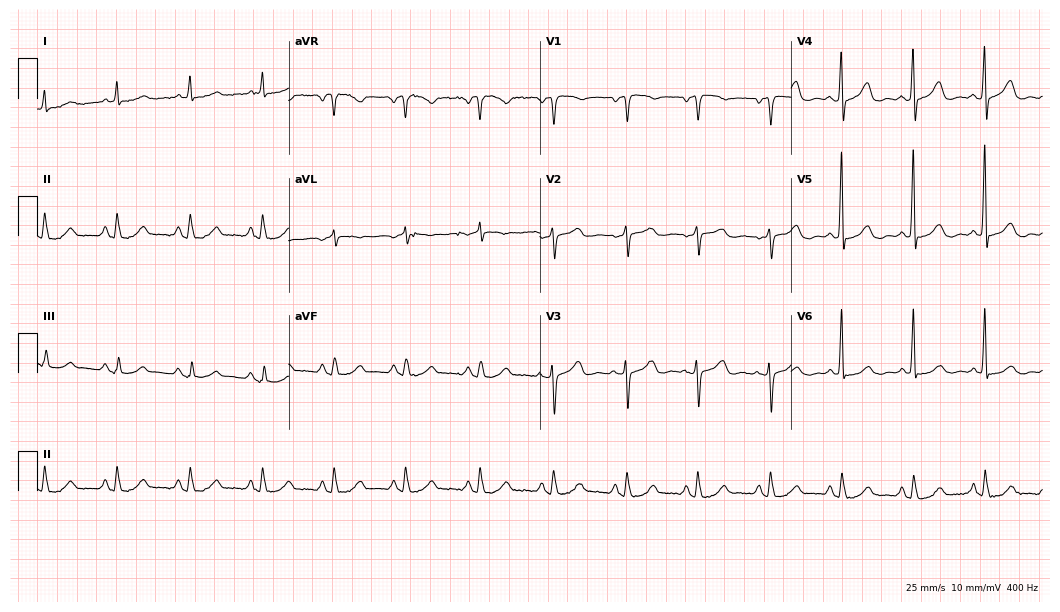
Resting 12-lead electrocardiogram (10.2-second recording at 400 Hz). Patient: a 75-year-old woman. None of these six findings is recorded: first-degree AV block, right bundle branch block (RBBB), left bundle branch block (LBBB), sinus bradycardia, atrial fibrillation (AF), sinus tachycardia.